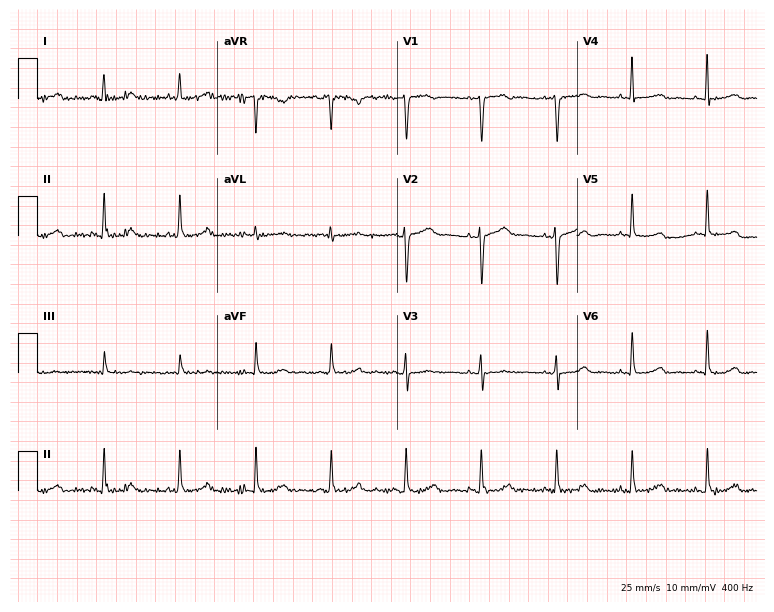
12-lead ECG from a female, 67 years old. Screened for six findings — first-degree AV block, right bundle branch block, left bundle branch block, sinus bradycardia, atrial fibrillation, sinus tachycardia — none is recorded. Only these six findings were labelled.